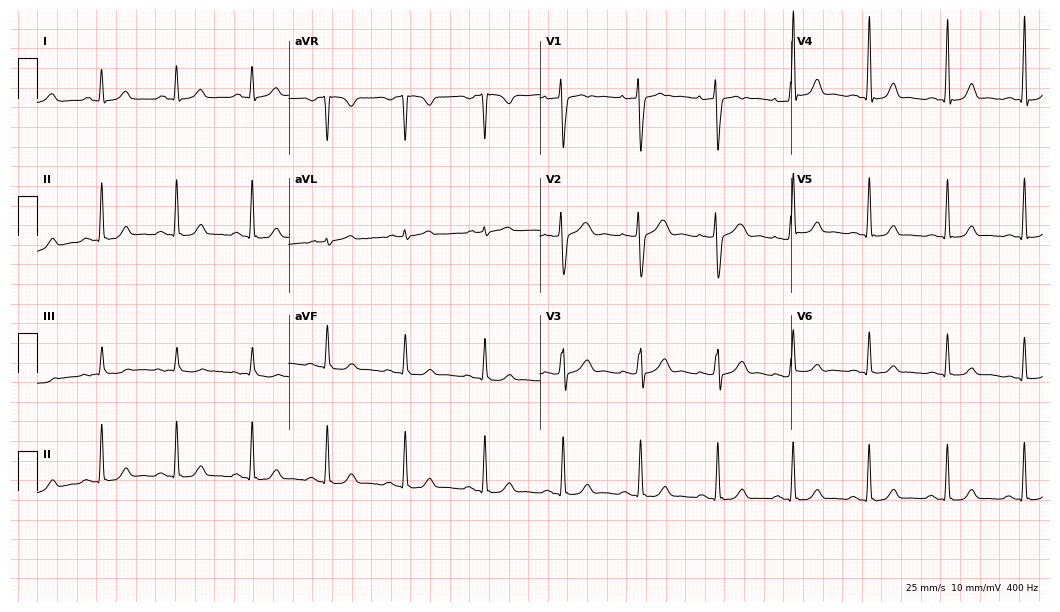
Electrocardiogram (10.2-second recording at 400 Hz), a female patient, 34 years old. Overall reading on record: normal ECG.